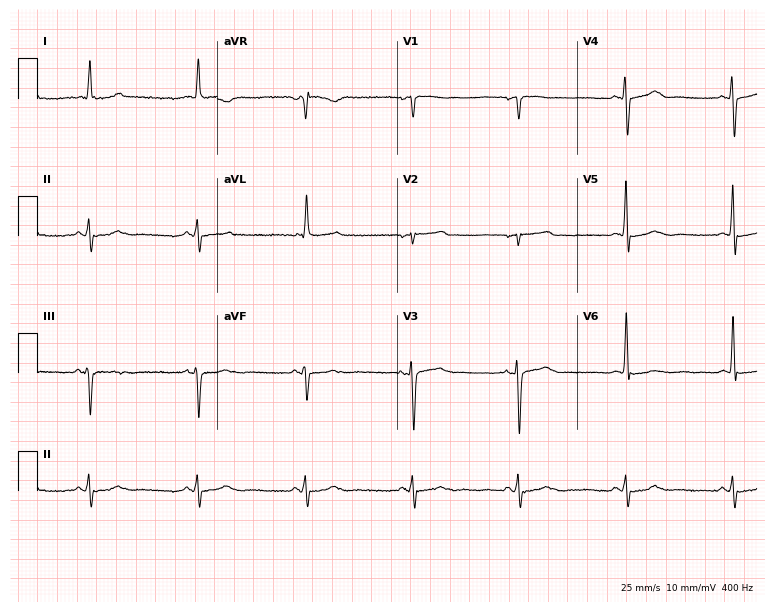
Resting 12-lead electrocardiogram. Patient: a female, 63 years old. Read as a normal ECG.